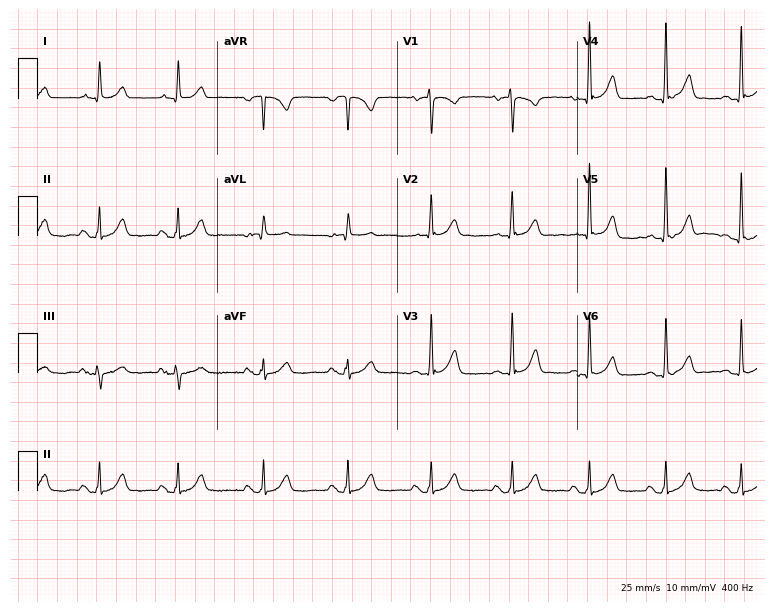
ECG (7.3-second recording at 400 Hz) — an 87-year-old woman. Labelled as a normal ECG.